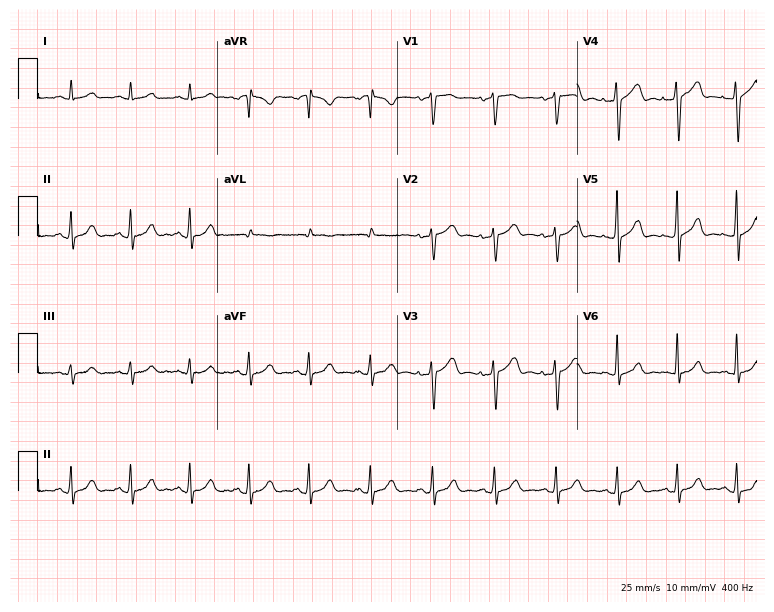
12-lead ECG (7.3-second recording at 400 Hz) from a 52-year-old male patient. Labelled as a normal ECG.